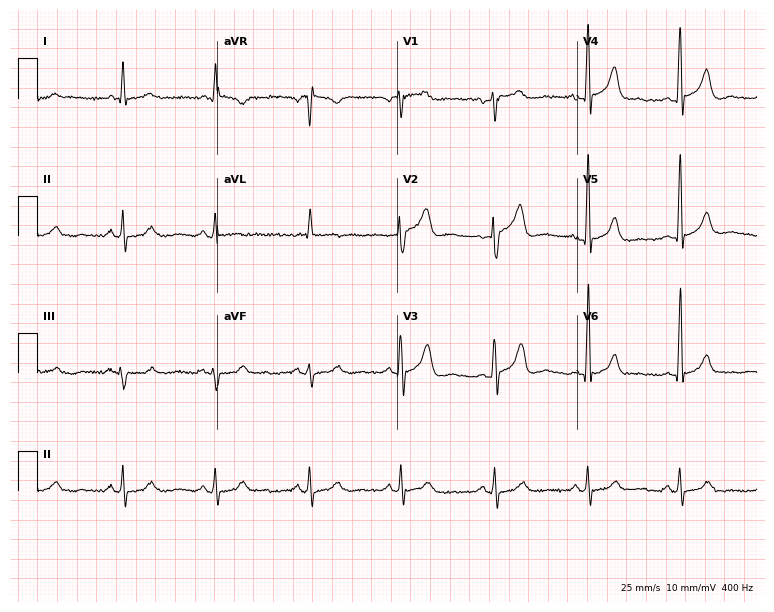
12-lead ECG (7.3-second recording at 400 Hz) from a 61-year-old male patient. Labelled as a normal ECG.